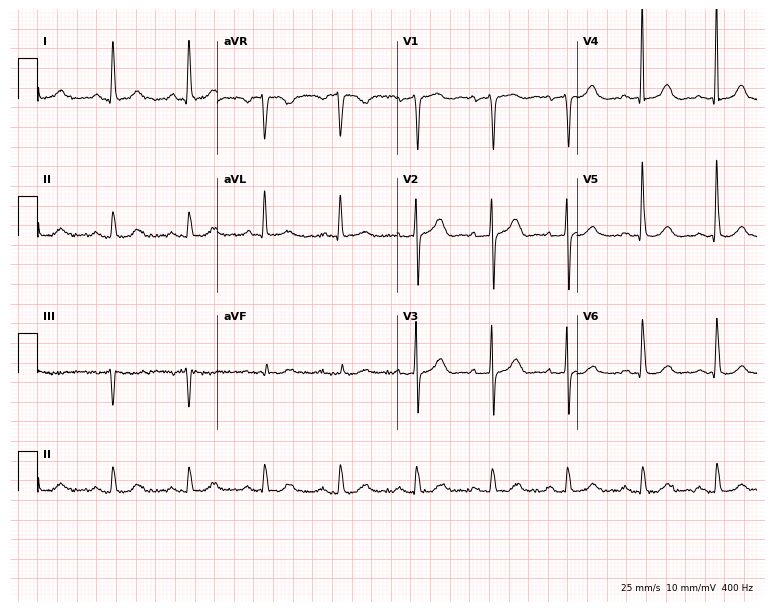
Resting 12-lead electrocardiogram. Patient: a 68-year-old female. None of these six findings is recorded: first-degree AV block, right bundle branch block, left bundle branch block, sinus bradycardia, atrial fibrillation, sinus tachycardia. Findings outside these six are not listed.